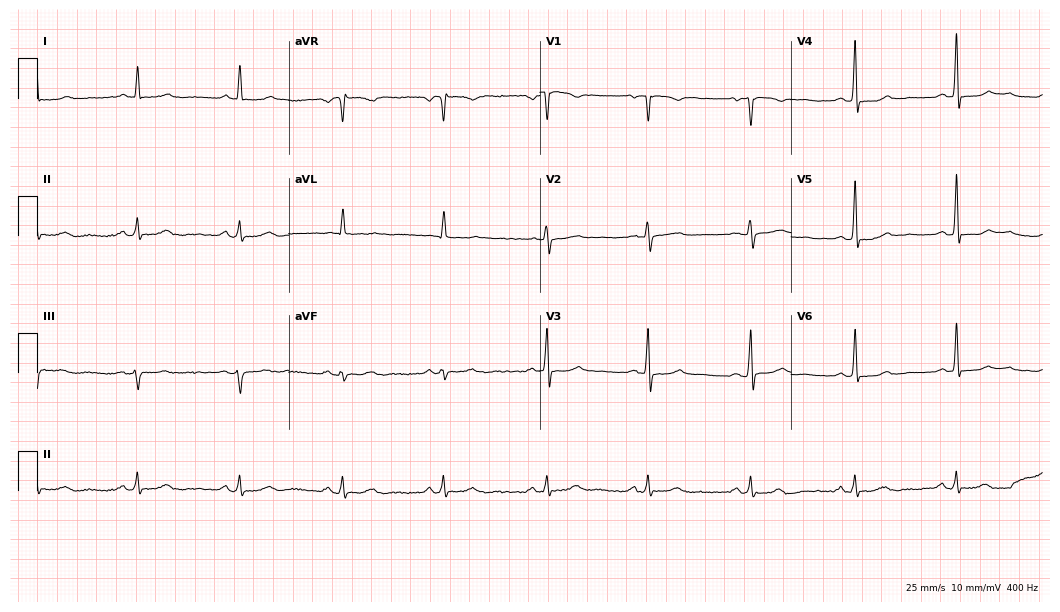
ECG (10.2-second recording at 400 Hz) — a woman, 57 years old. Labelled as a normal ECG.